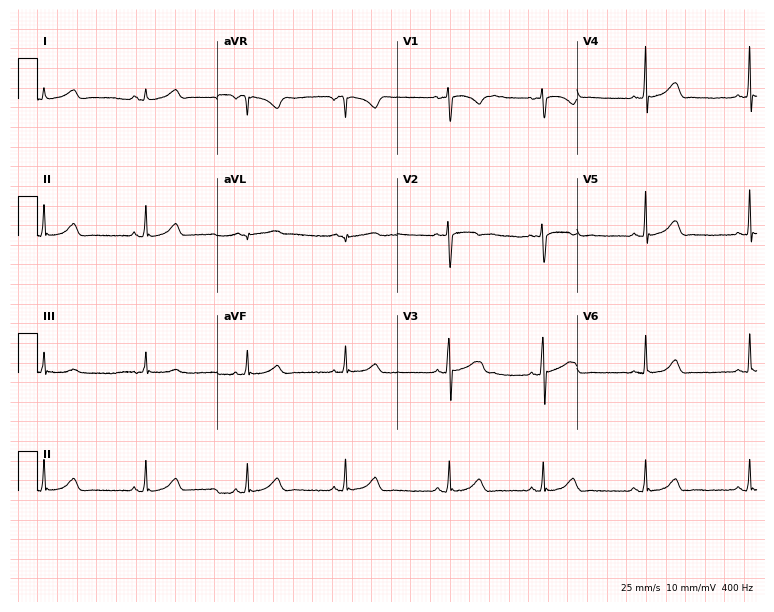
12-lead ECG (7.3-second recording at 400 Hz) from a female, 18 years old. Screened for six findings — first-degree AV block, right bundle branch block, left bundle branch block, sinus bradycardia, atrial fibrillation, sinus tachycardia — none is recorded.